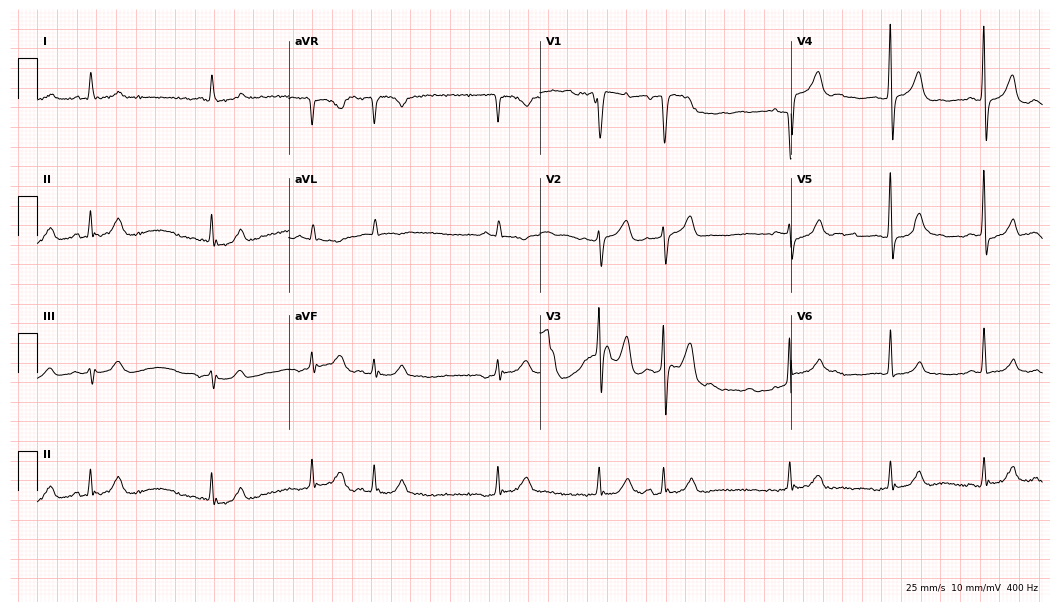
Standard 12-lead ECG recorded from an 80-year-old man (10.2-second recording at 400 Hz). None of these six findings is recorded: first-degree AV block, right bundle branch block, left bundle branch block, sinus bradycardia, atrial fibrillation, sinus tachycardia. Only these six findings were labelled.